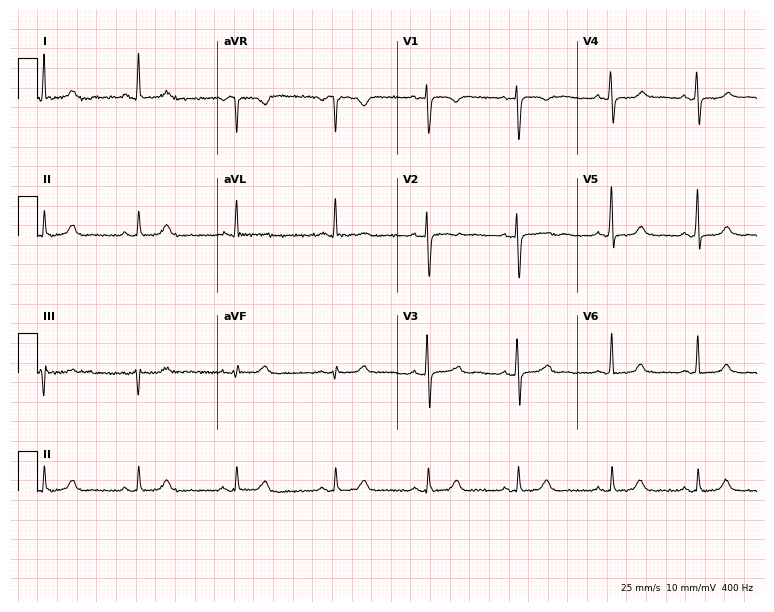
Standard 12-lead ECG recorded from a female, 52 years old (7.3-second recording at 400 Hz). Read as a normal ECG.